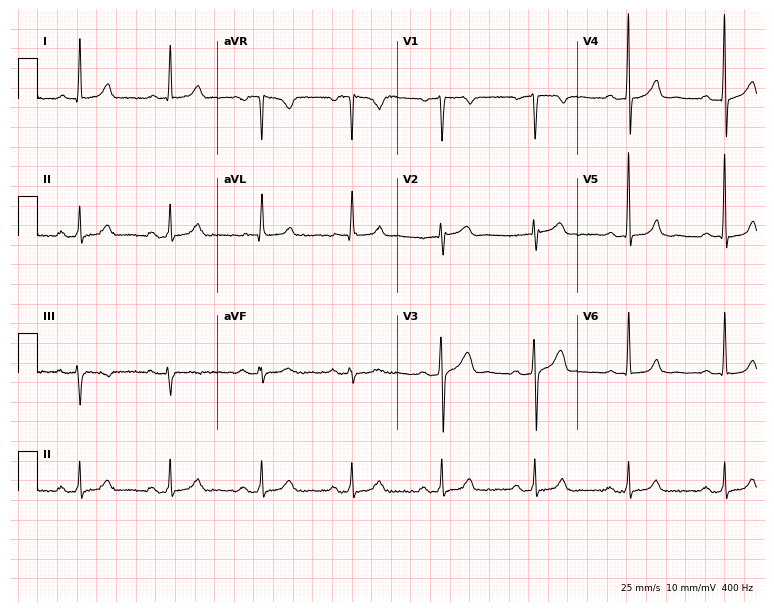
Standard 12-lead ECG recorded from a 48-year-old man (7.3-second recording at 400 Hz). None of these six findings is recorded: first-degree AV block, right bundle branch block, left bundle branch block, sinus bradycardia, atrial fibrillation, sinus tachycardia.